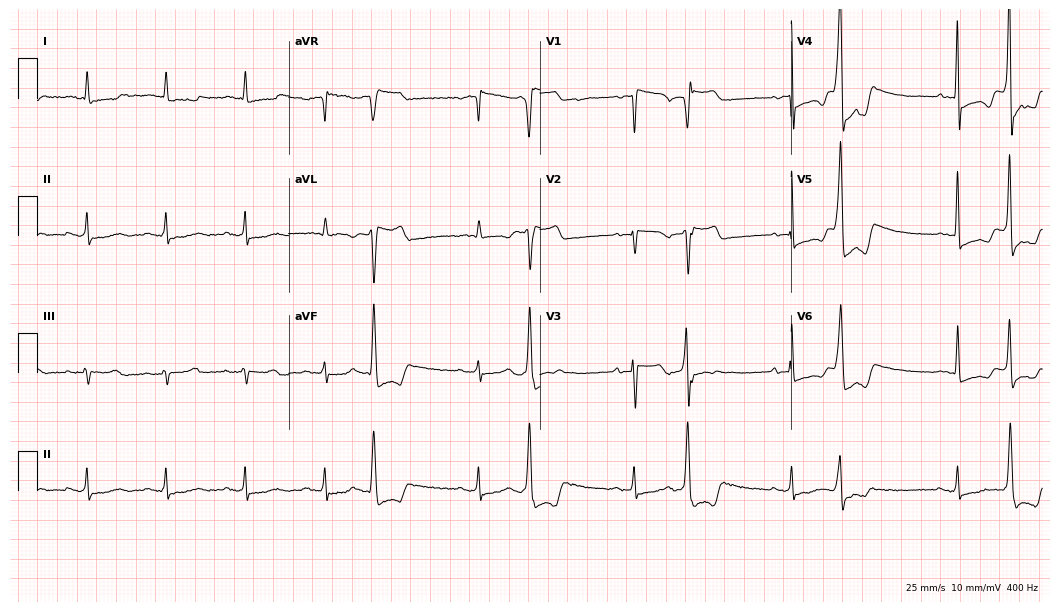
ECG (10.2-second recording at 400 Hz) — a male, 80 years old. Screened for six findings — first-degree AV block, right bundle branch block, left bundle branch block, sinus bradycardia, atrial fibrillation, sinus tachycardia — none is recorded.